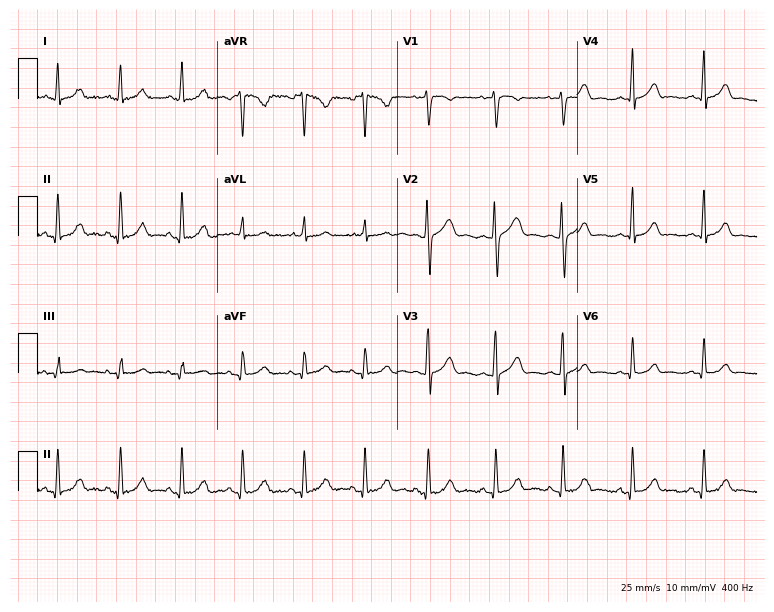
ECG — a woman, 29 years old. Labelled as a normal ECG.